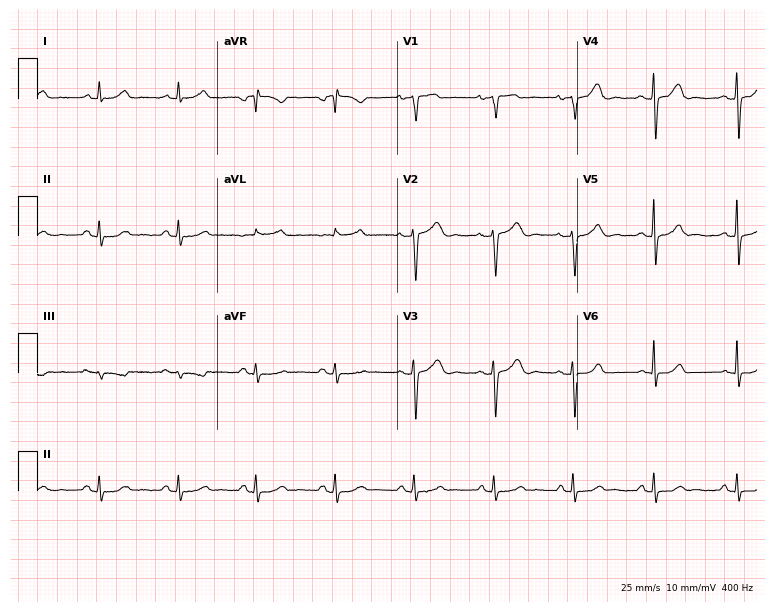
Standard 12-lead ECG recorded from a female patient, 49 years old (7.3-second recording at 400 Hz). Read as a normal ECG.